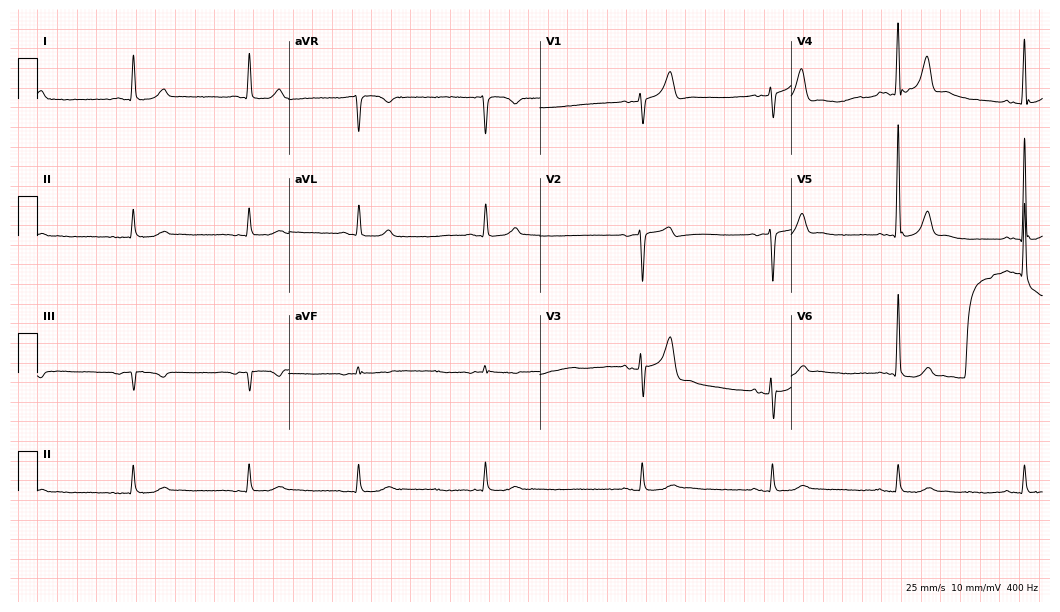
Standard 12-lead ECG recorded from a male, 81 years old (10.2-second recording at 400 Hz). Read as a normal ECG.